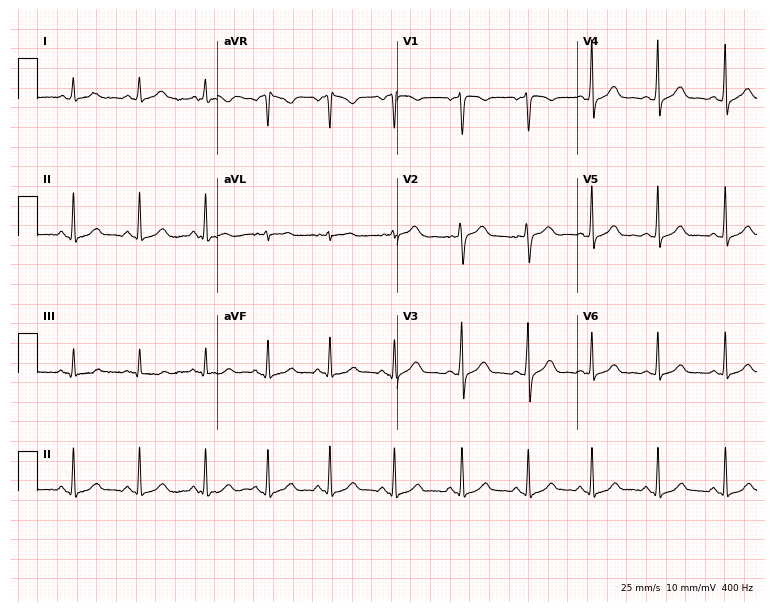
12-lead ECG (7.3-second recording at 400 Hz) from a female patient, 44 years old. Labelled as a normal ECG.